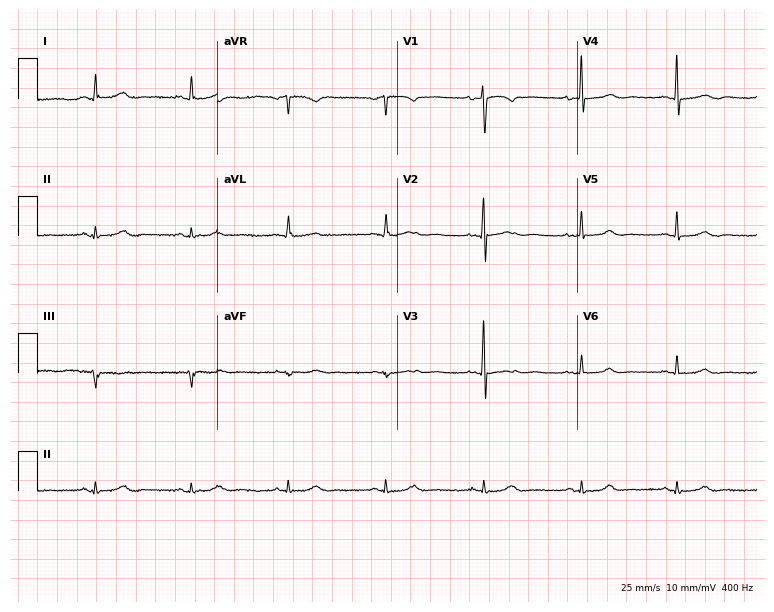
Resting 12-lead electrocardiogram (7.3-second recording at 400 Hz). Patient: a female, 57 years old. Read as a normal ECG.